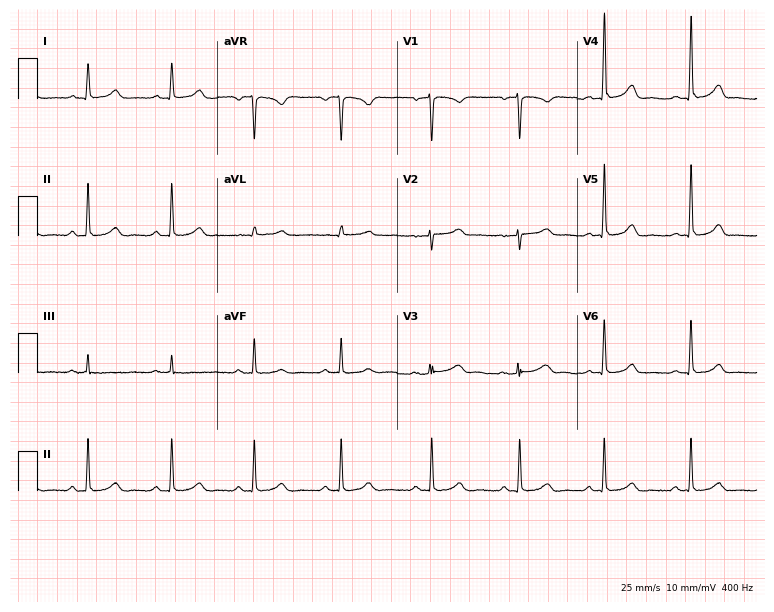
12-lead ECG from a female patient, 49 years old. No first-degree AV block, right bundle branch block, left bundle branch block, sinus bradycardia, atrial fibrillation or sinus tachycardia recorded for this tracing. Other findings, if any, are not listed.